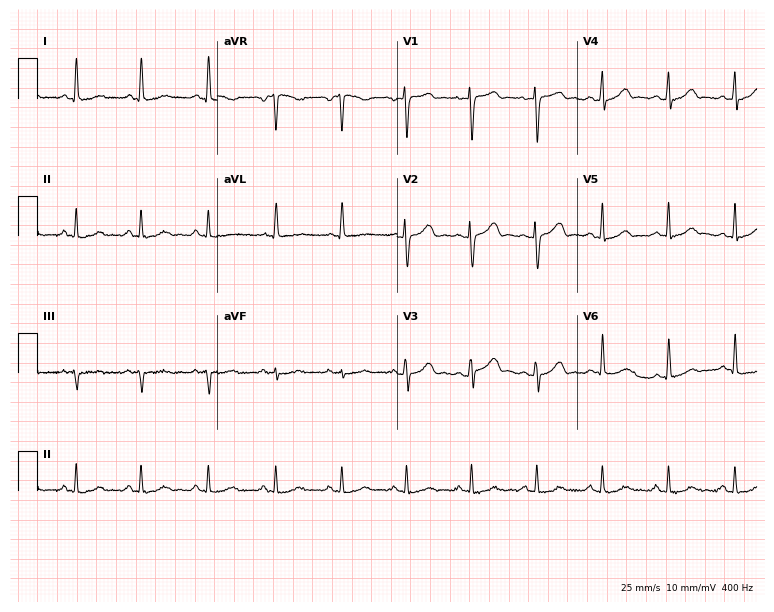
12-lead ECG from a female, 32 years old. No first-degree AV block, right bundle branch block, left bundle branch block, sinus bradycardia, atrial fibrillation or sinus tachycardia recorded for this tracing. Other findings, if any, are not listed.